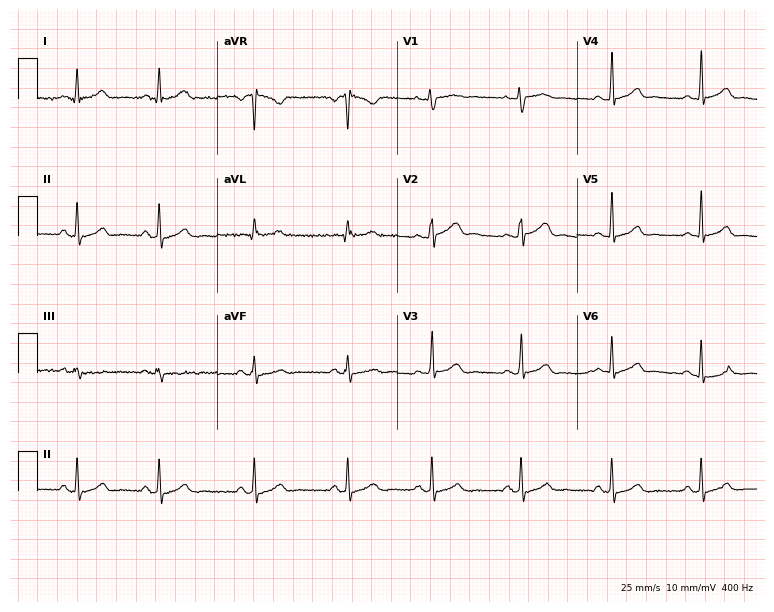
Standard 12-lead ECG recorded from a 26-year-old female. Read as a normal ECG.